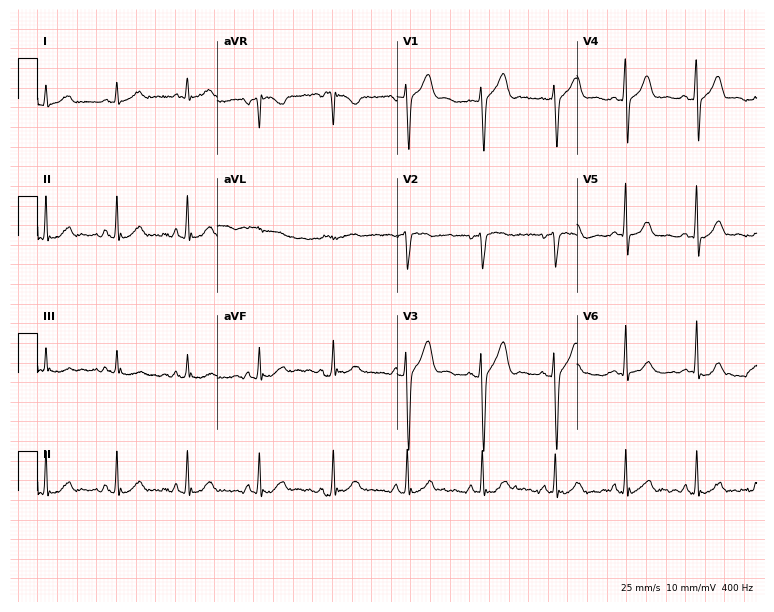
12-lead ECG (7.3-second recording at 400 Hz) from a male, 45 years old. Labelled as a normal ECG.